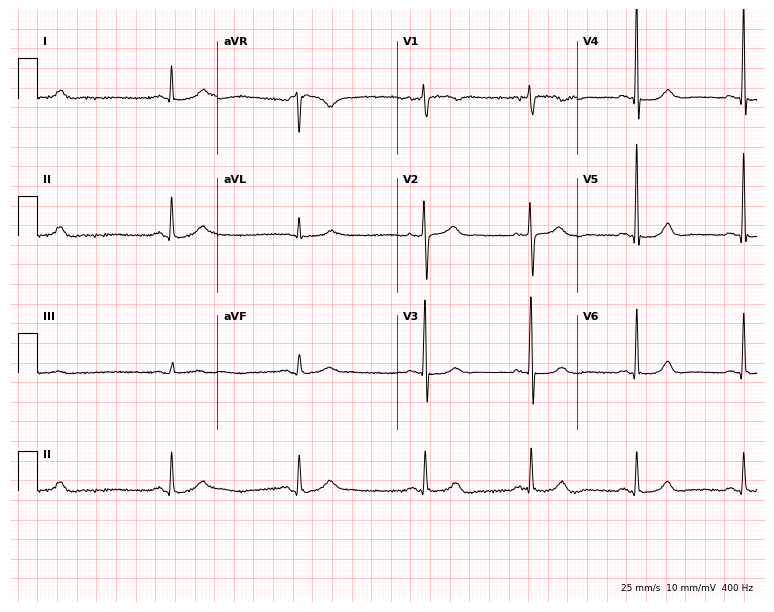
Electrocardiogram (7.3-second recording at 400 Hz), a female, 72 years old. Overall reading on record: normal ECG.